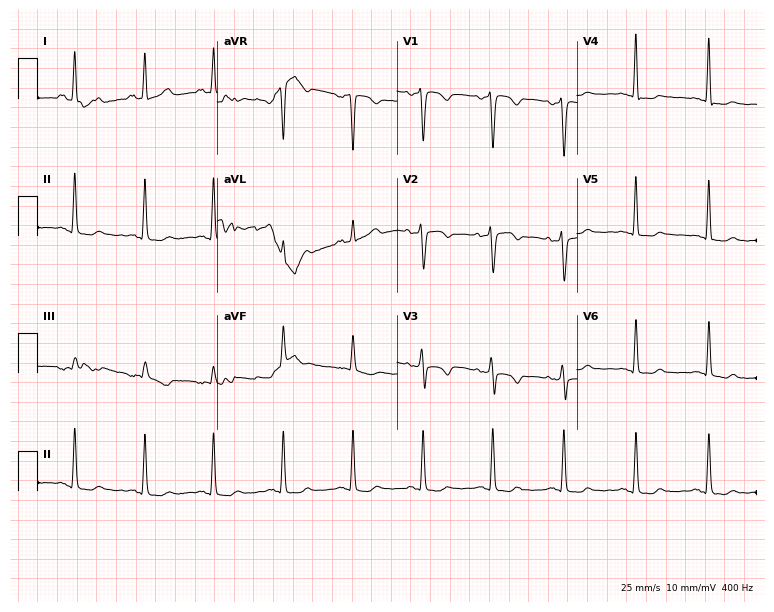
Electrocardiogram, a female, 58 years old. Of the six screened findings (first-degree AV block, right bundle branch block (RBBB), left bundle branch block (LBBB), sinus bradycardia, atrial fibrillation (AF), sinus tachycardia), none is recorded.